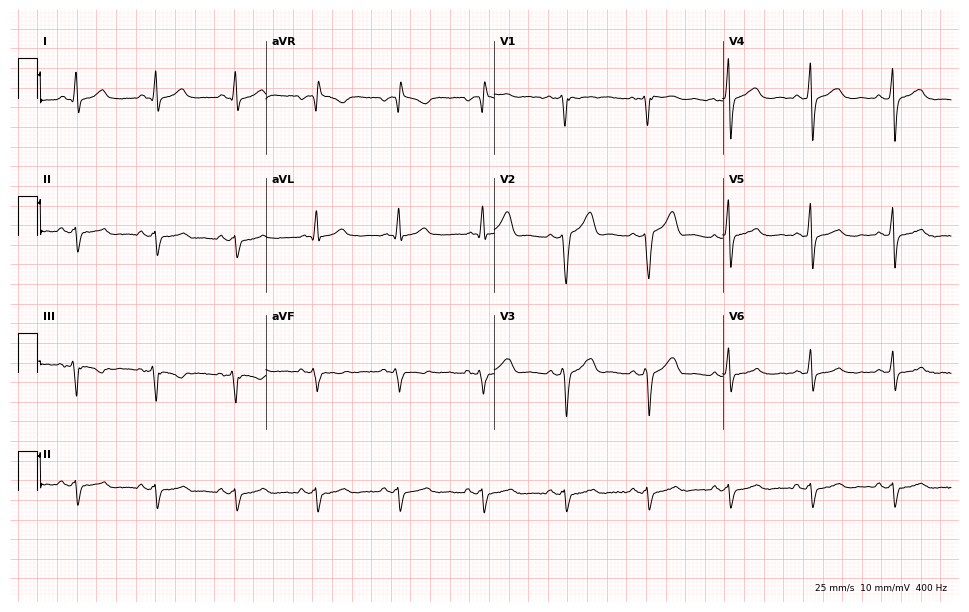
12-lead ECG from a man, 61 years old. Screened for six findings — first-degree AV block, right bundle branch block, left bundle branch block, sinus bradycardia, atrial fibrillation, sinus tachycardia — none is recorded. Findings outside these six are not listed.